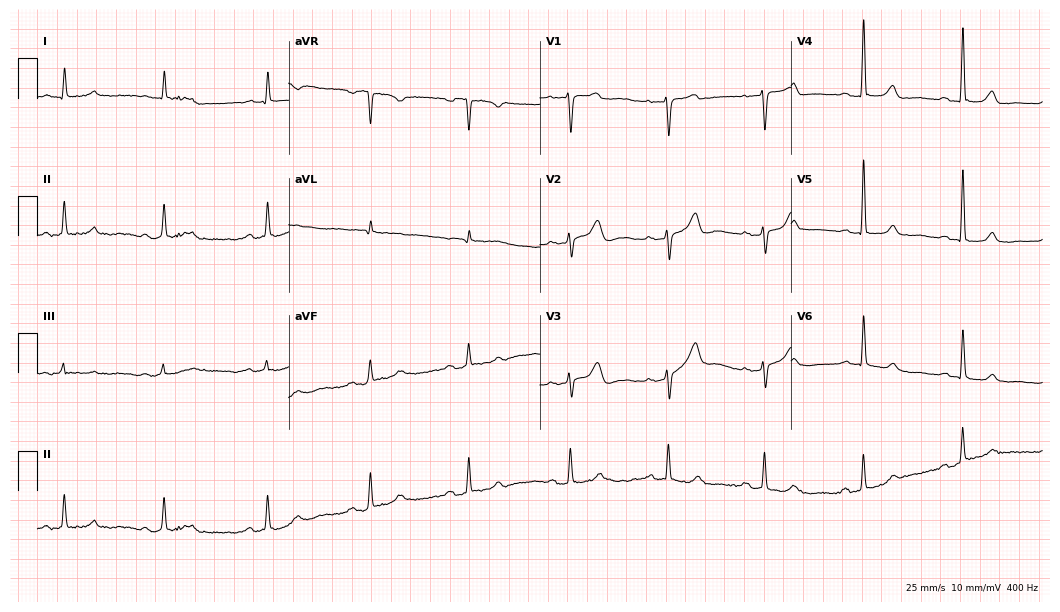
Resting 12-lead electrocardiogram. Patient: a woman, 71 years old. None of these six findings is recorded: first-degree AV block, right bundle branch block, left bundle branch block, sinus bradycardia, atrial fibrillation, sinus tachycardia.